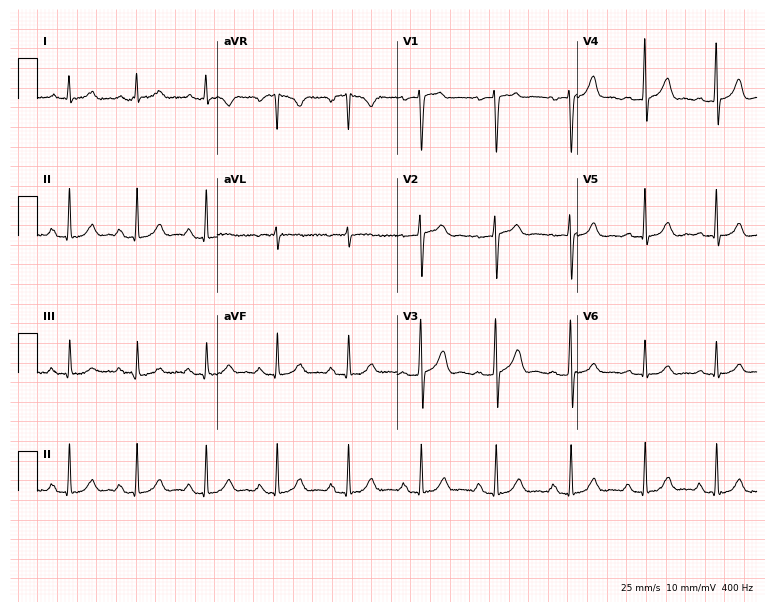
12-lead ECG from a male, 48 years old. Labelled as a normal ECG.